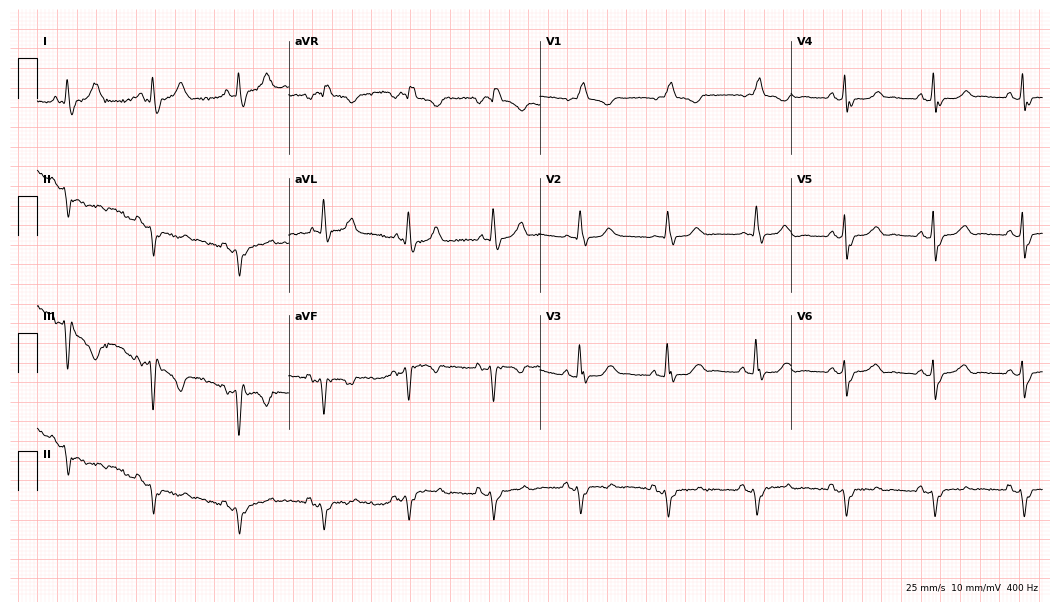
ECG (10.2-second recording at 400 Hz) — a 66-year-old woman. Findings include right bundle branch block.